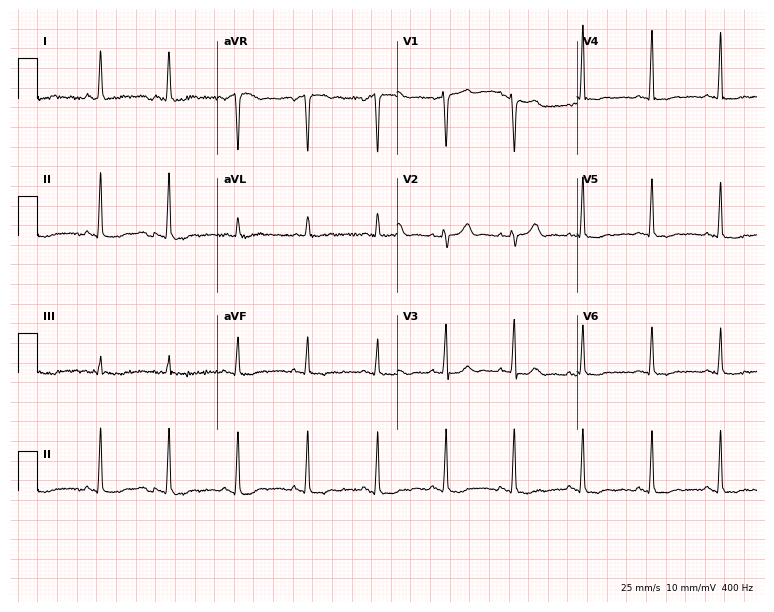
ECG — a 58-year-old female patient. Screened for six findings — first-degree AV block, right bundle branch block (RBBB), left bundle branch block (LBBB), sinus bradycardia, atrial fibrillation (AF), sinus tachycardia — none is recorded.